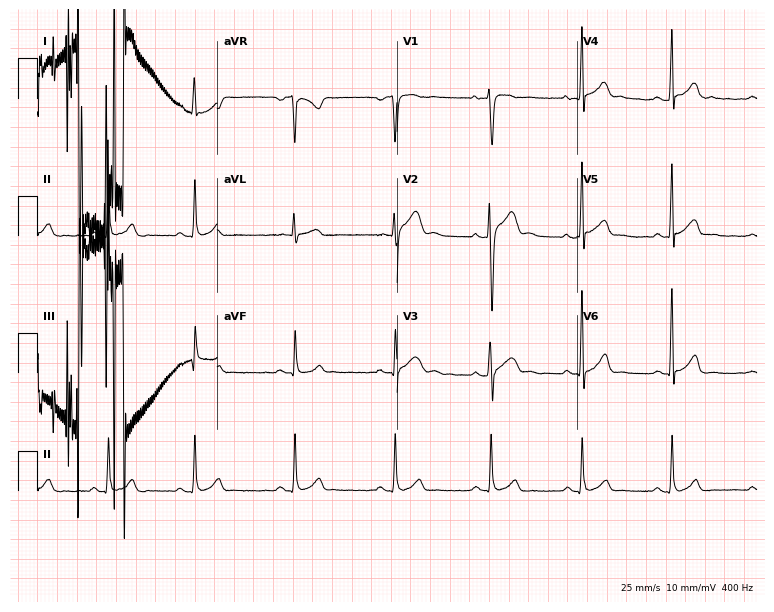
Resting 12-lead electrocardiogram. Patient: a 34-year-old man. None of these six findings is recorded: first-degree AV block, right bundle branch block (RBBB), left bundle branch block (LBBB), sinus bradycardia, atrial fibrillation (AF), sinus tachycardia. Findings outside these six are not listed.